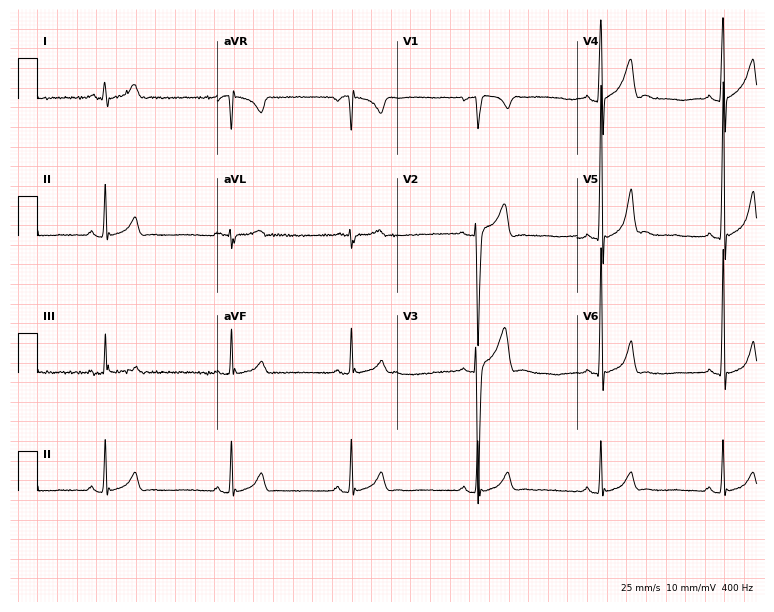
Standard 12-lead ECG recorded from a 23-year-old male patient. The tracing shows sinus bradycardia (a sinus rate of 50 beats per minute or less).